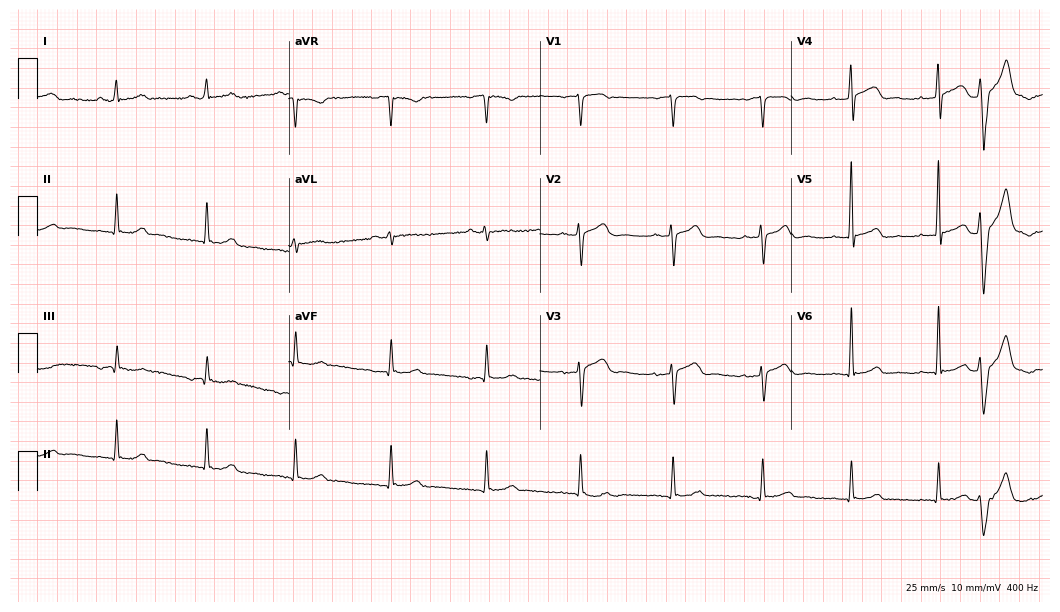
Standard 12-lead ECG recorded from a male patient, 59 years old (10.2-second recording at 400 Hz). Read as a normal ECG.